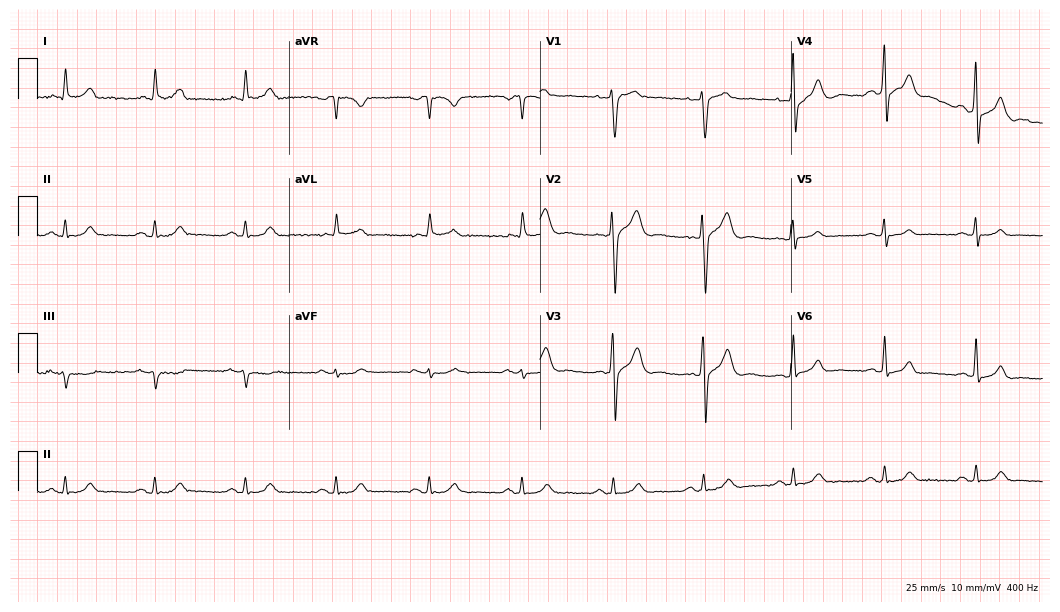
ECG — a 51-year-old man. Screened for six findings — first-degree AV block, right bundle branch block, left bundle branch block, sinus bradycardia, atrial fibrillation, sinus tachycardia — none is recorded. Findings outside these six are not listed.